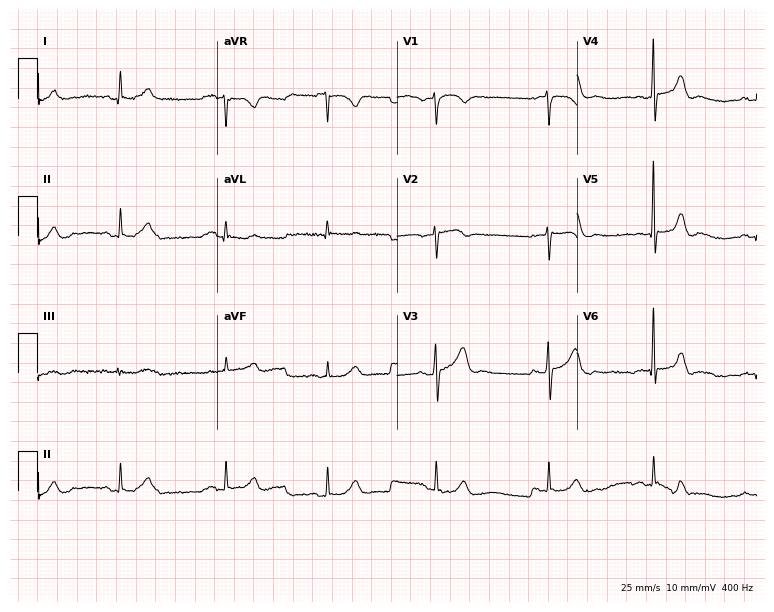
12-lead ECG from a man, 59 years old. Recorded interpretation: within normal limits.